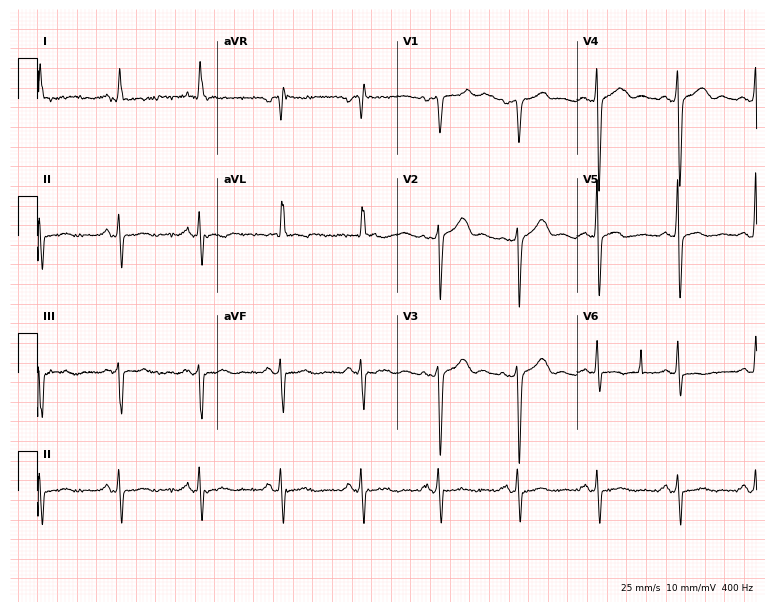
Electrocardiogram (7.3-second recording at 400 Hz), a woman, 84 years old. Of the six screened findings (first-degree AV block, right bundle branch block (RBBB), left bundle branch block (LBBB), sinus bradycardia, atrial fibrillation (AF), sinus tachycardia), none is recorded. Other findings, if any, are not listed.